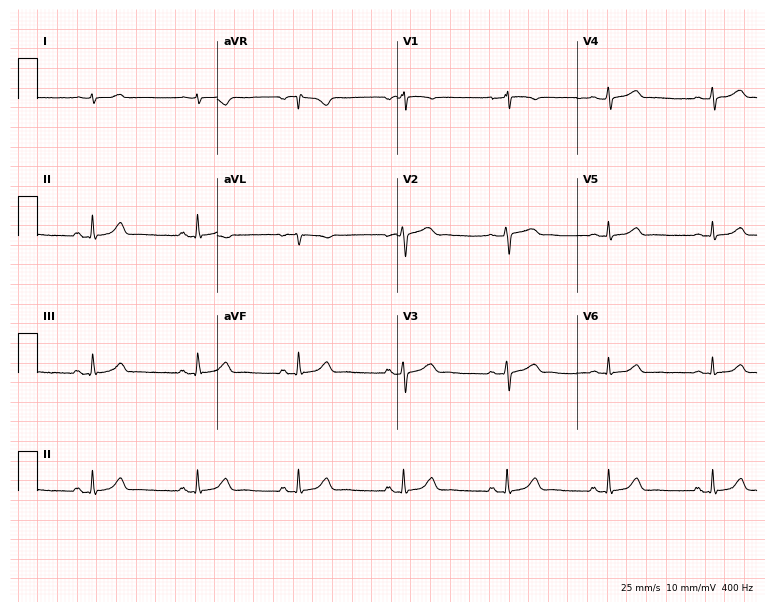
Resting 12-lead electrocardiogram (7.3-second recording at 400 Hz). Patient: a 27-year-old male. Read as a normal ECG.